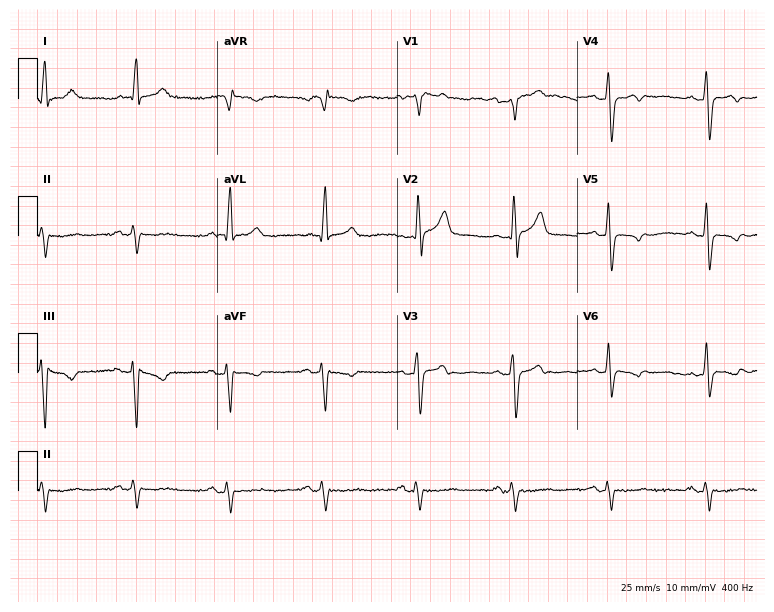
Resting 12-lead electrocardiogram. Patient: a 62-year-old man. None of these six findings is recorded: first-degree AV block, right bundle branch block, left bundle branch block, sinus bradycardia, atrial fibrillation, sinus tachycardia. Only these six findings were labelled.